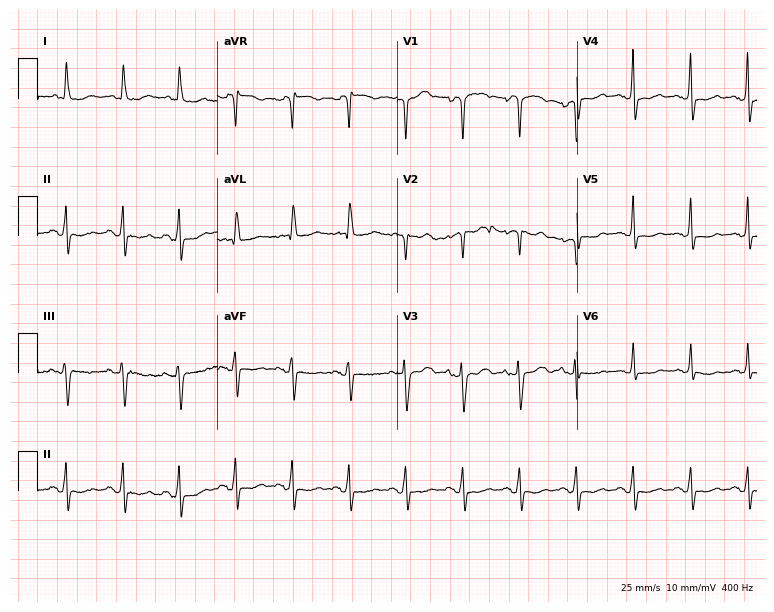
12-lead ECG from a 78-year-old woman (7.3-second recording at 400 Hz). Shows sinus tachycardia (a sinus rate of 100 beats per minute or more).